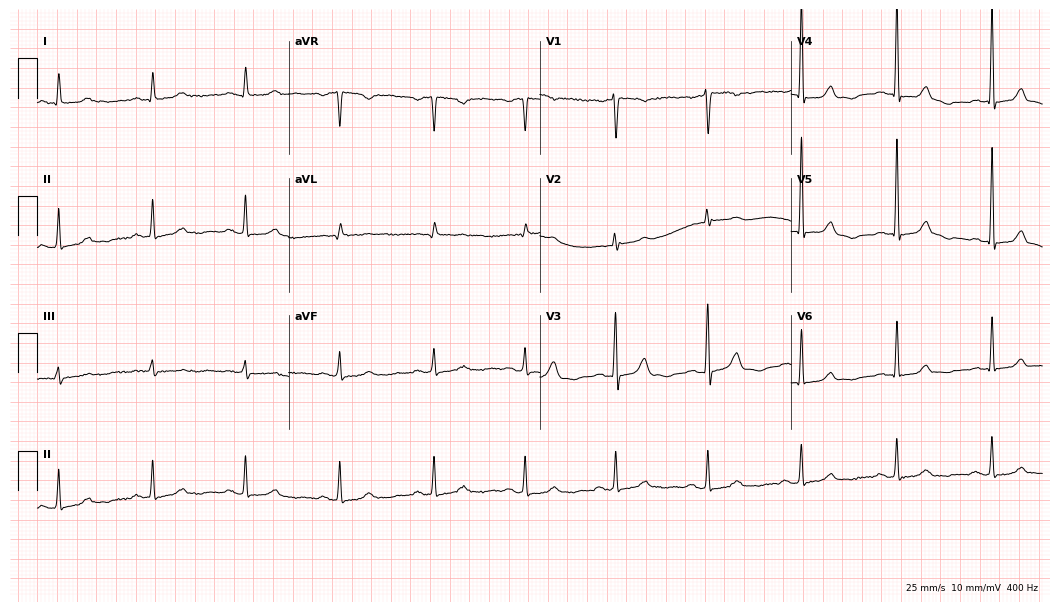
12-lead ECG from a female patient, 54 years old. Labelled as a normal ECG.